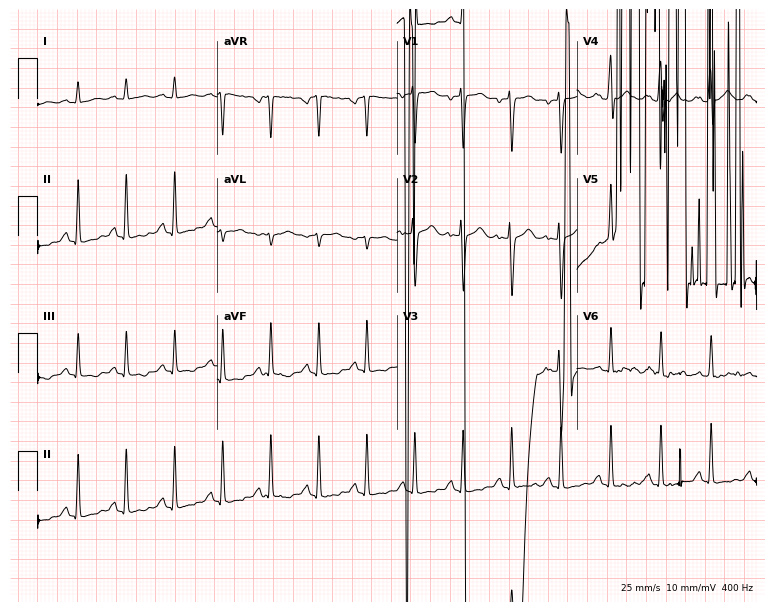
12-lead ECG from a female, 21 years old (7.3-second recording at 400 Hz). No first-degree AV block, right bundle branch block, left bundle branch block, sinus bradycardia, atrial fibrillation or sinus tachycardia recorded for this tracing.